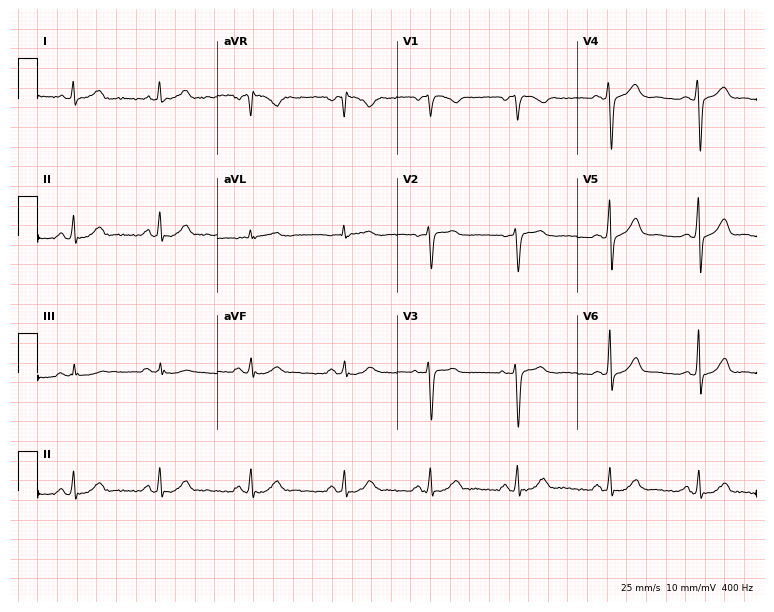
Electrocardiogram, a 44-year-old female. Of the six screened findings (first-degree AV block, right bundle branch block, left bundle branch block, sinus bradycardia, atrial fibrillation, sinus tachycardia), none is recorded.